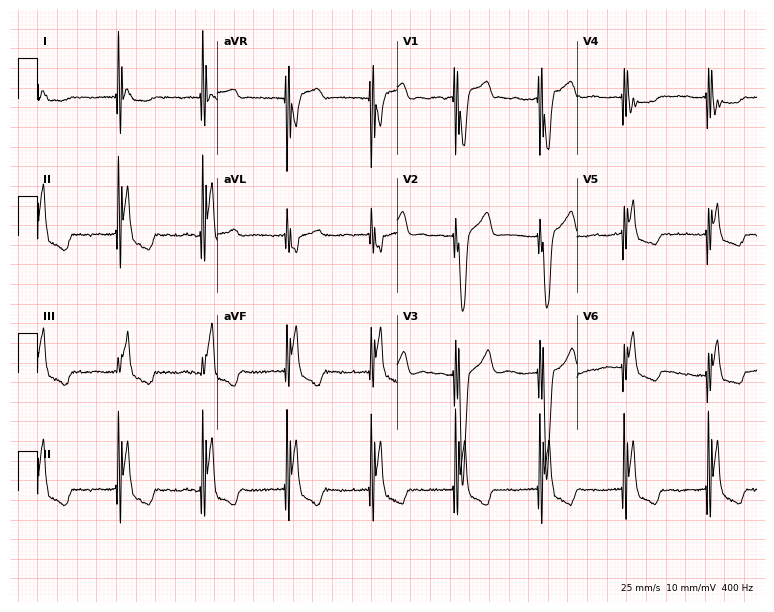
Resting 12-lead electrocardiogram. Patient: a male, 76 years old. None of these six findings is recorded: first-degree AV block, right bundle branch block, left bundle branch block, sinus bradycardia, atrial fibrillation, sinus tachycardia.